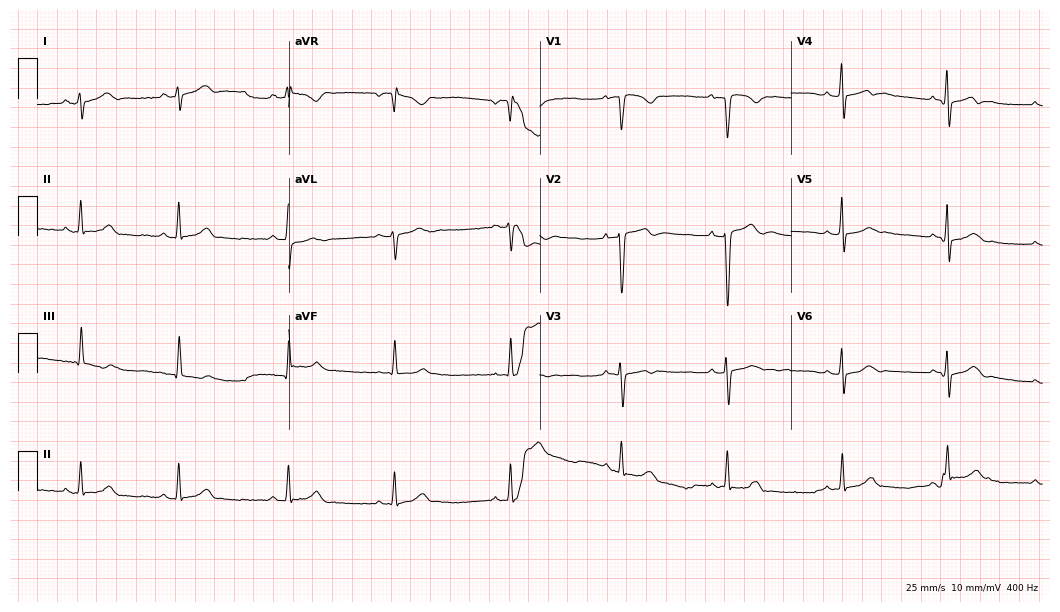
Standard 12-lead ECG recorded from a woman, 17 years old (10.2-second recording at 400 Hz). Read as a normal ECG.